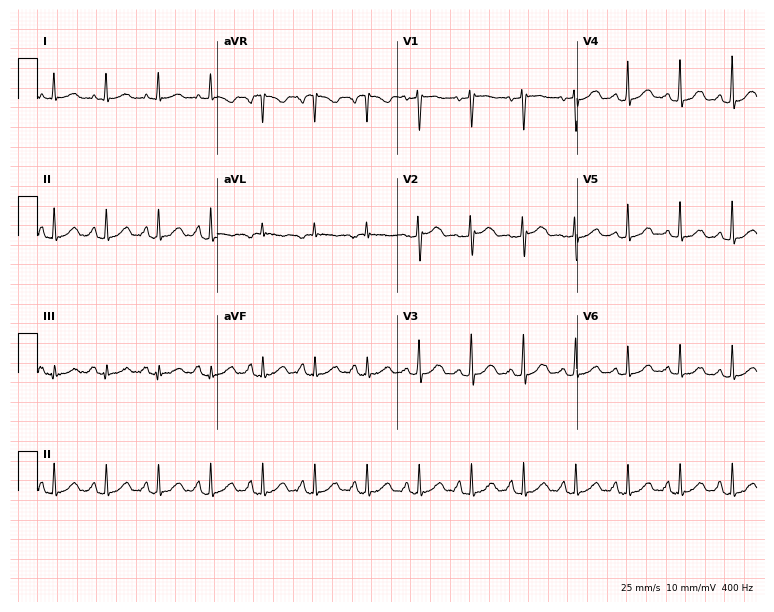
Resting 12-lead electrocardiogram (7.3-second recording at 400 Hz). Patient: a male, 57 years old. The tracing shows sinus tachycardia (a sinus rate of 100 beats per minute or more).